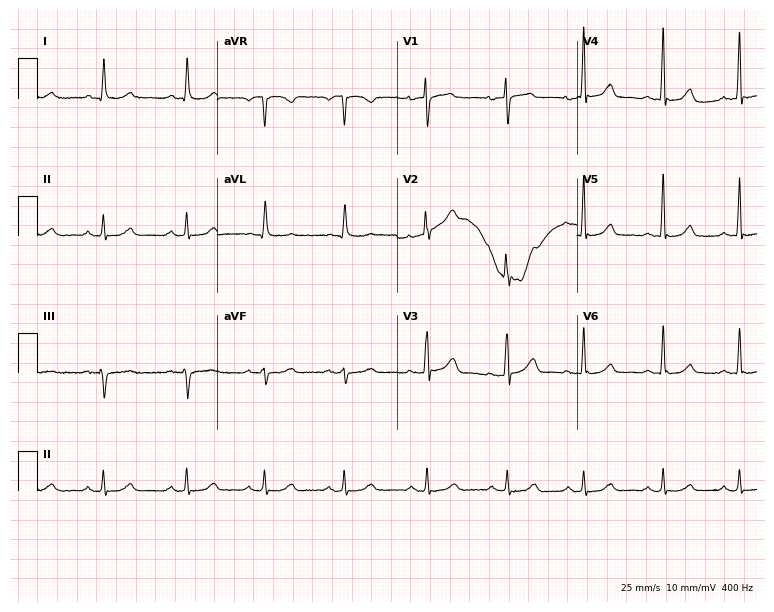
12-lead ECG (7.3-second recording at 400 Hz) from an 81-year-old female. Labelled as a normal ECG.